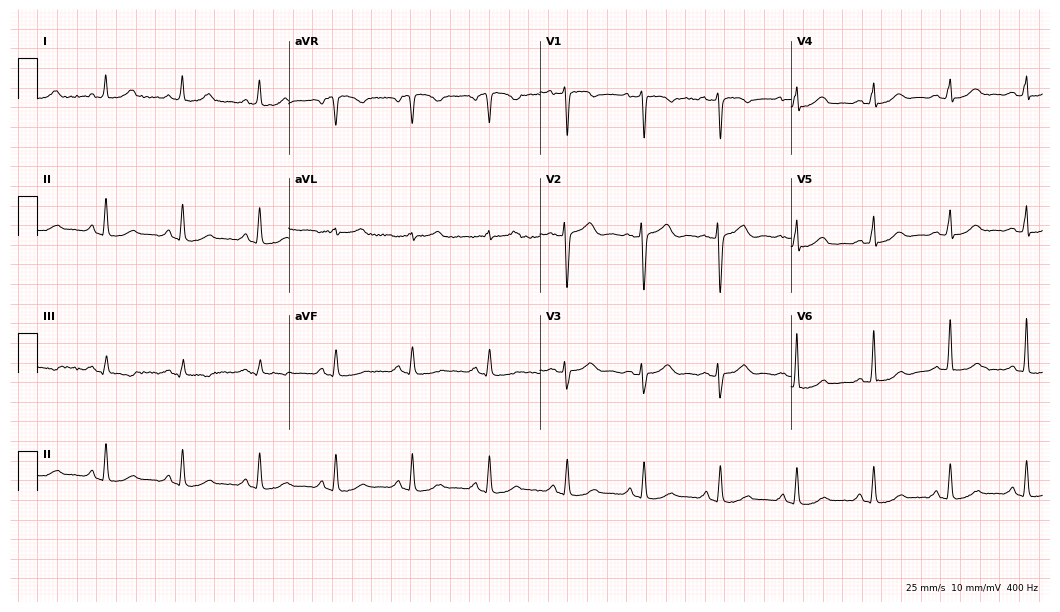
12-lead ECG from a male patient, 83 years old (10.2-second recording at 400 Hz). Recorded interpretation: within normal limits.